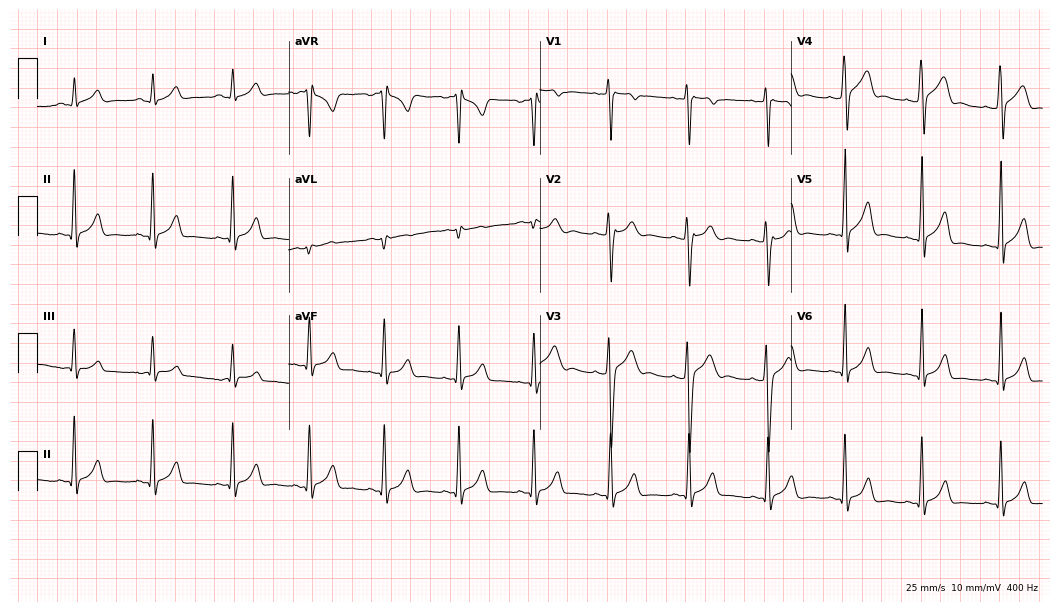
Electrocardiogram (10.2-second recording at 400 Hz), a male patient, 18 years old. Overall reading on record: normal ECG.